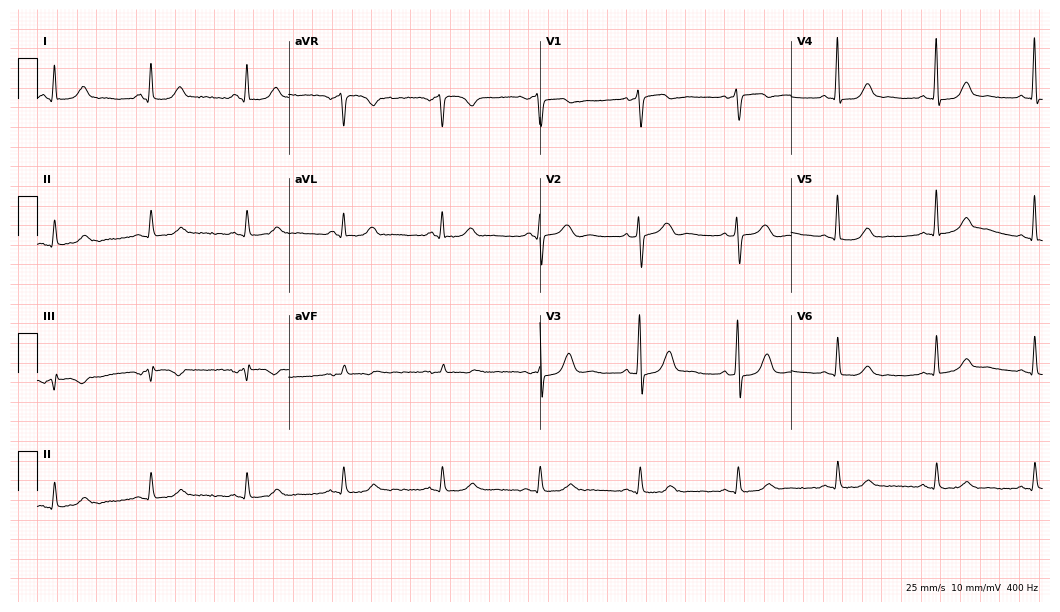
ECG — a female patient, 68 years old. Labelled as a normal ECG.